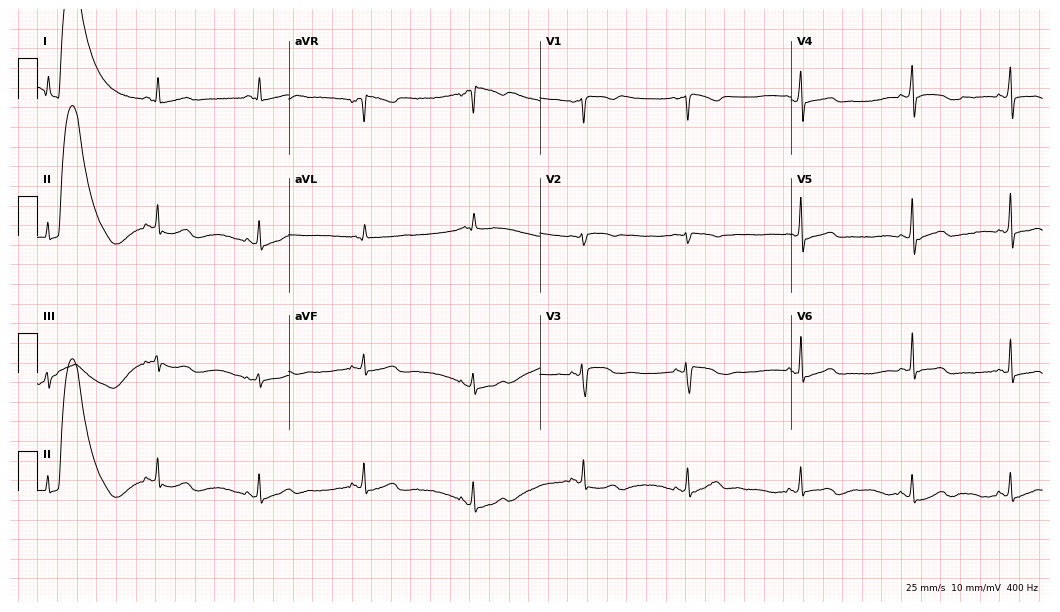
12-lead ECG from a female patient, 47 years old. Screened for six findings — first-degree AV block, right bundle branch block, left bundle branch block, sinus bradycardia, atrial fibrillation, sinus tachycardia — none is recorded. Other findings, if any, are not listed.